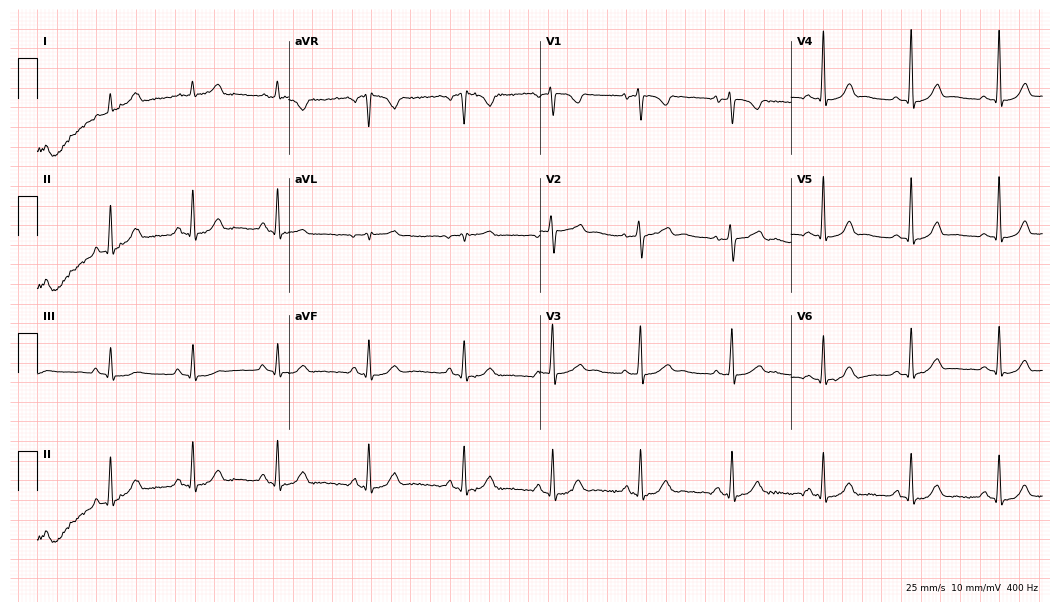
12-lead ECG (10.2-second recording at 400 Hz) from a 37-year-old female. Screened for six findings — first-degree AV block, right bundle branch block (RBBB), left bundle branch block (LBBB), sinus bradycardia, atrial fibrillation (AF), sinus tachycardia — none is recorded. Other findings, if any, are not listed.